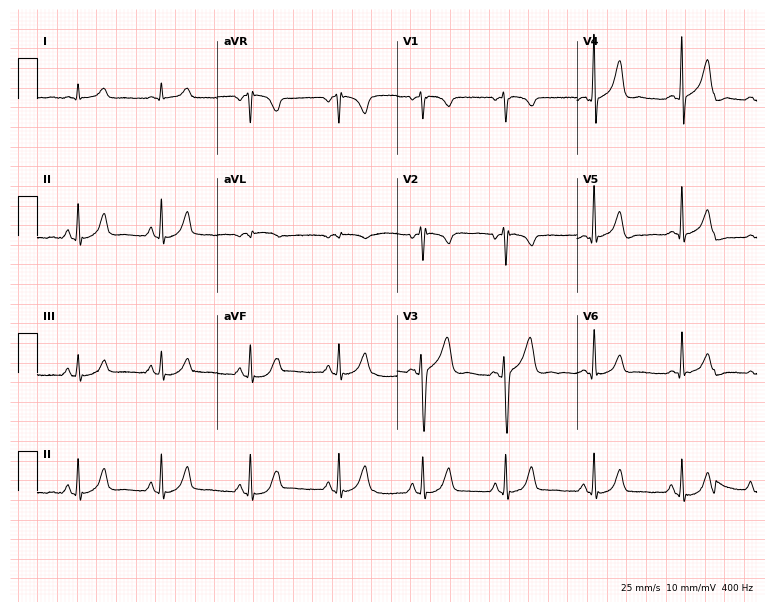
12-lead ECG from a male patient, 43 years old (7.3-second recording at 400 Hz). Recorded interpretation: within normal limits.